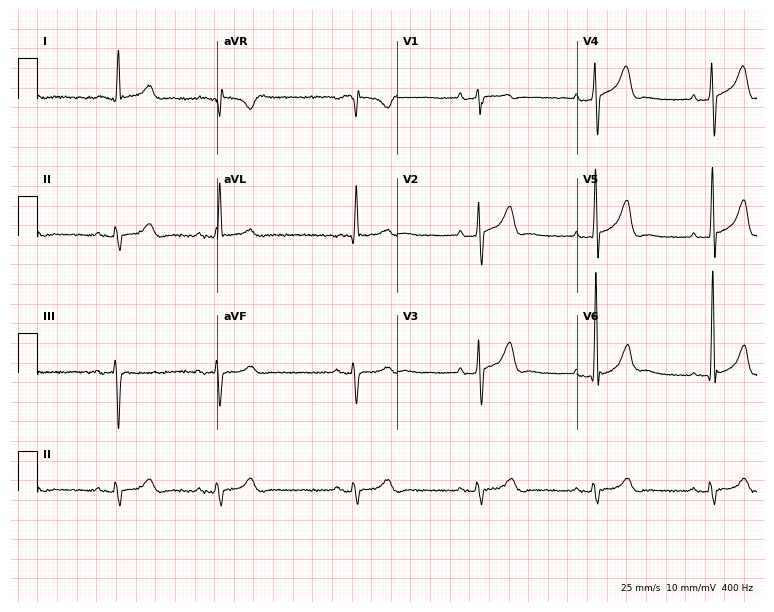
Standard 12-lead ECG recorded from a male patient, 84 years old (7.3-second recording at 400 Hz). None of these six findings is recorded: first-degree AV block, right bundle branch block, left bundle branch block, sinus bradycardia, atrial fibrillation, sinus tachycardia. Findings outside these six are not listed.